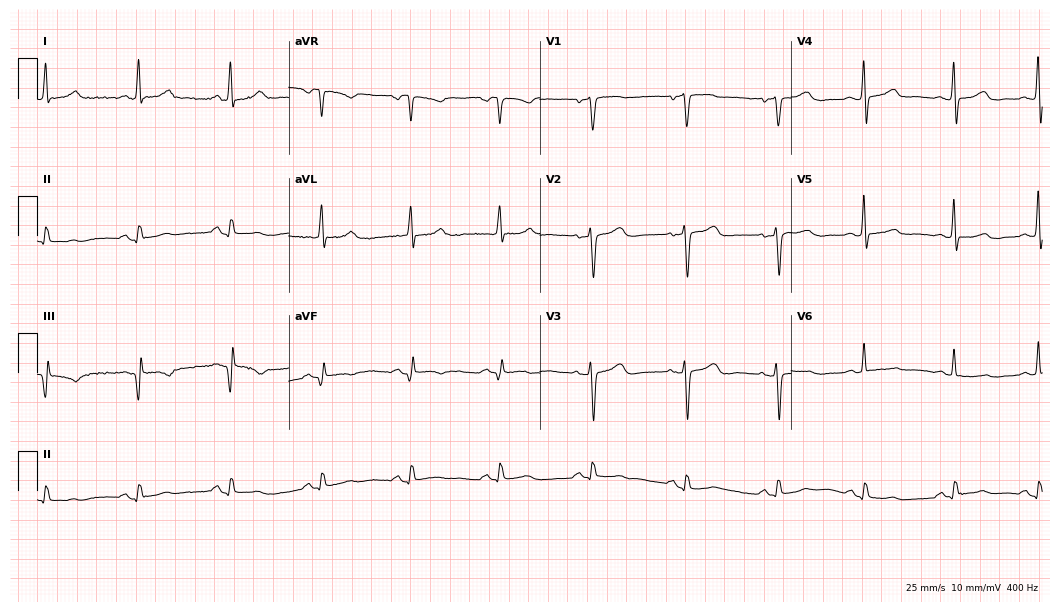
12-lead ECG from a 47-year-old female. No first-degree AV block, right bundle branch block, left bundle branch block, sinus bradycardia, atrial fibrillation or sinus tachycardia recorded for this tracing.